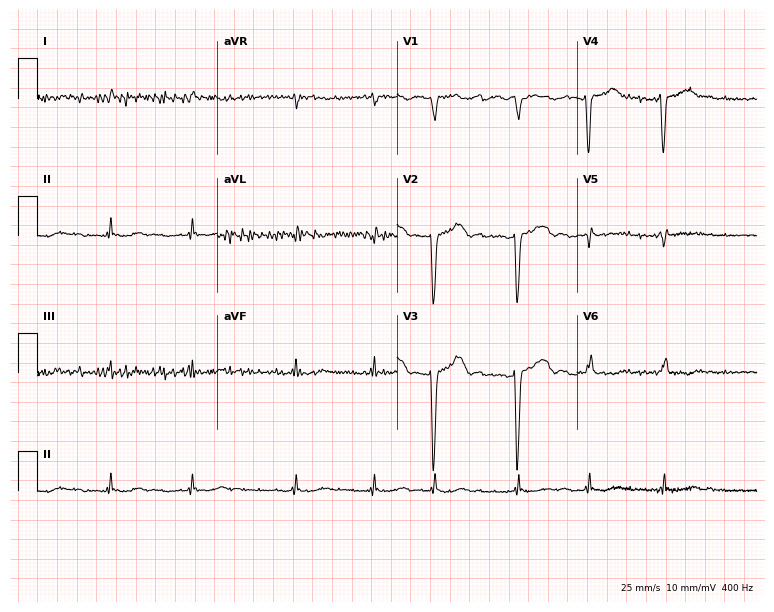
Resting 12-lead electrocardiogram (7.3-second recording at 400 Hz). Patient: a 65-year-old male. None of these six findings is recorded: first-degree AV block, right bundle branch block, left bundle branch block, sinus bradycardia, atrial fibrillation, sinus tachycardia. Findings outside these six are not listed.